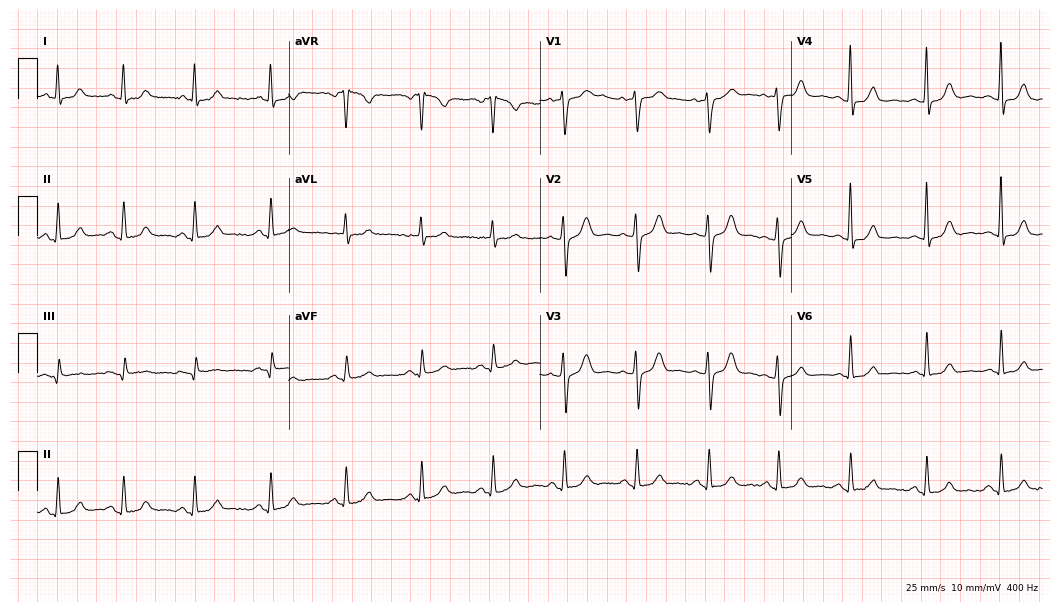
12-lead ECG (10.2-second recording at 400 Hz) from a female, 42 years old. Screened for six findings — first-degree AV block, right bundle branch block, left bundle branch block, sinus bradycardia, atrial fibrillation, sinus tachycardia — none is recorded. Other findings, if any, are not listed.